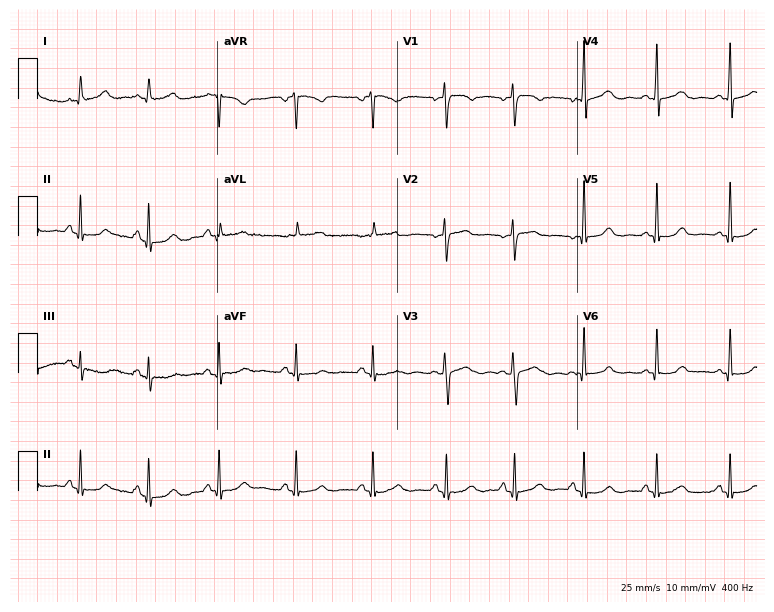
Standard 12-lead ECG recorded from a 47-year-old female. Read as a normal ECG.